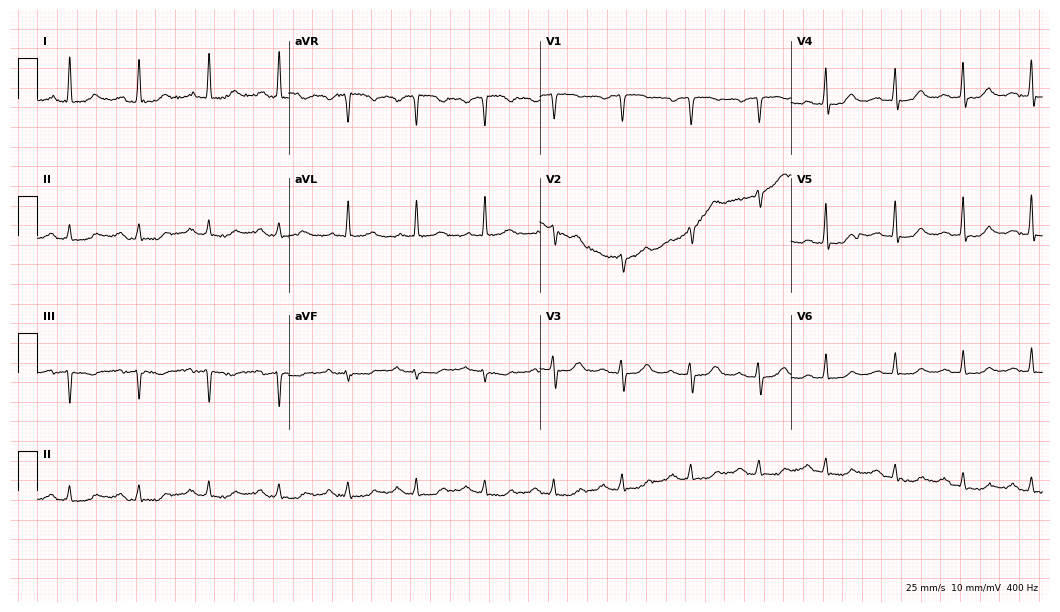
Electrocardiogram, a woman, 66 years old. Overall reading on record: normal ECG.